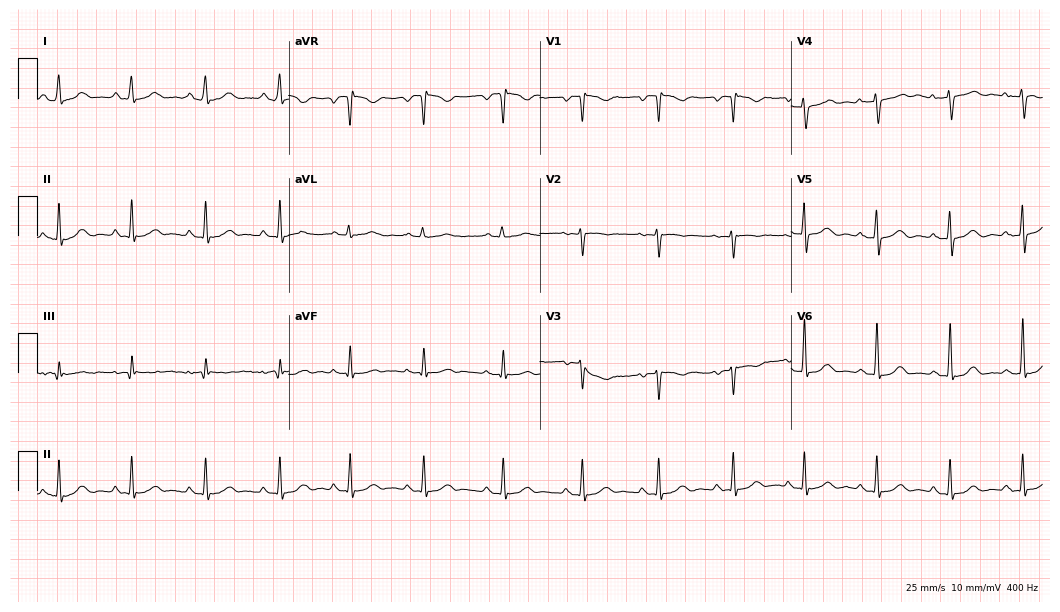
Electrocardiogram (10.2-second recording at 400 Hz), a female patient, 44 years old. Overall reading on record: normal ECG.